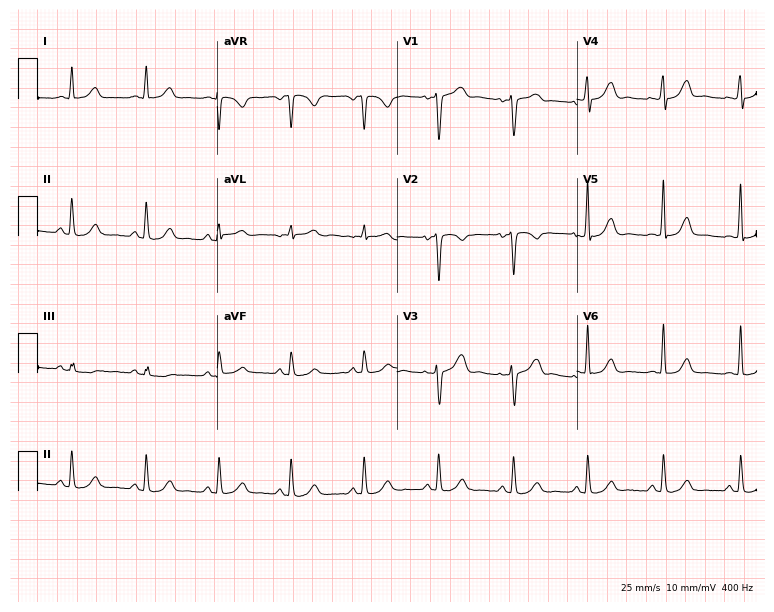
Resting 12-lead electrocardiogram. Patient: a woman, 39 years old. None of these six findings is recorded: first-degree AV block, right bundle branch block (RBBB), left bundle branch block (LBBB), sinus bradycardia, atrial fibrillation (AF), sinus tachycardia.